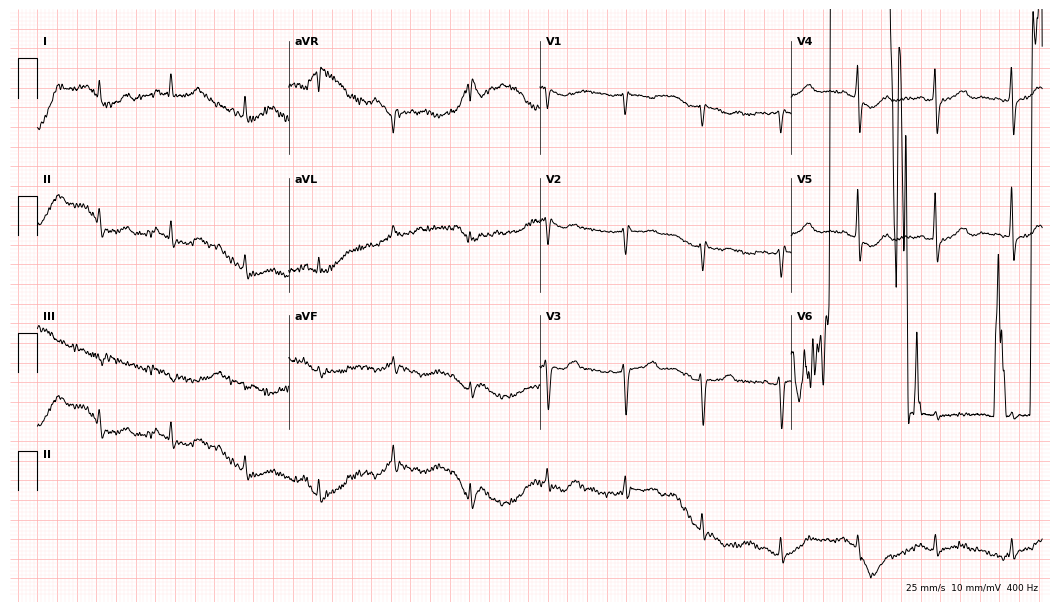
12-lead ECG (10.2-second recording at 400 Hz) from a 63-year-old female. Screened for six findings — first-degree AV block, right bundle branch block, left bundle branch block, sinus bradycardia, atrial fibrillation, sinus tachycardia — none is recorded.